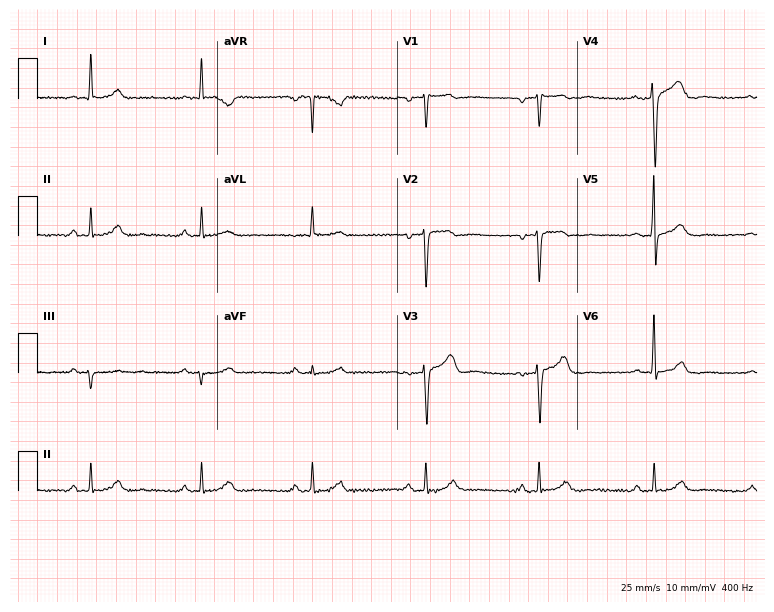
12-lead ECG from a male patient, 53 years old. No first-degree AV block, right bundle branch block (RBBB), left bundle branch block (LBBB), sinus bradycardia, atrial fibrillation (AF) or sinus tachycardia recorded for this tracing.